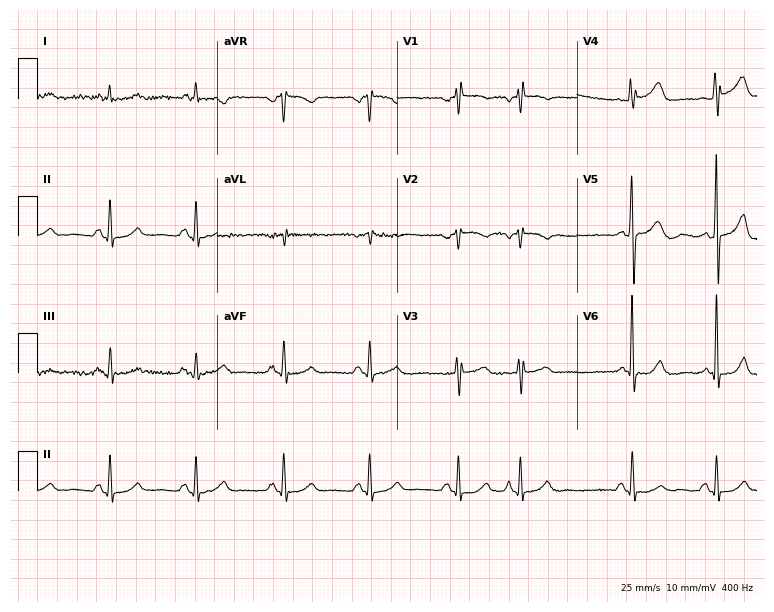
Electrocardiogram, an 81-year-old woman. Of the six screened findings (first-degree AV block, right bundle branch block, left bundle branch block, sinus bradycardia, atrial fibrillation, sinus tachycardia), none is recorded.